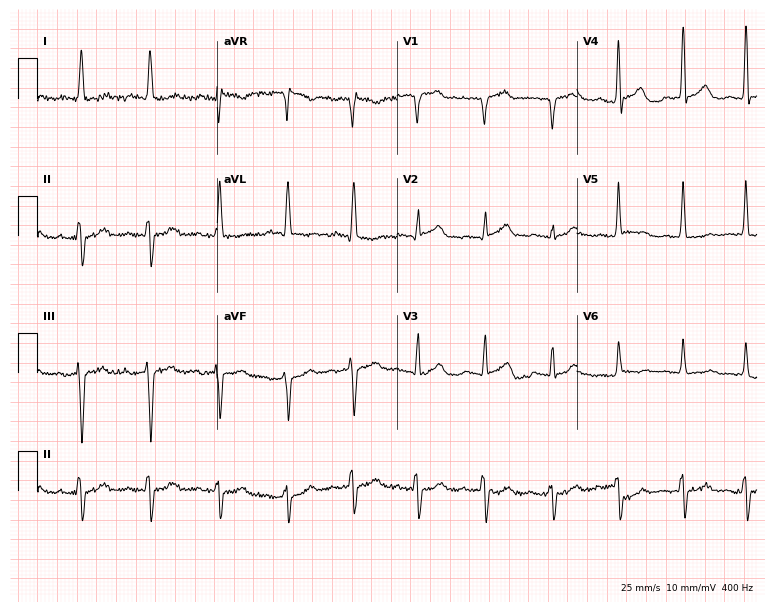
Standard 12-lead ECG recorded from a male, 73 years old. None of these six findings is recorded: first-degree AV block, right bundle branch block, left bundle branch block, sinus bradycardia, atrial fibrillation, sinus tachycardia. Other findings, if any, are not listed.